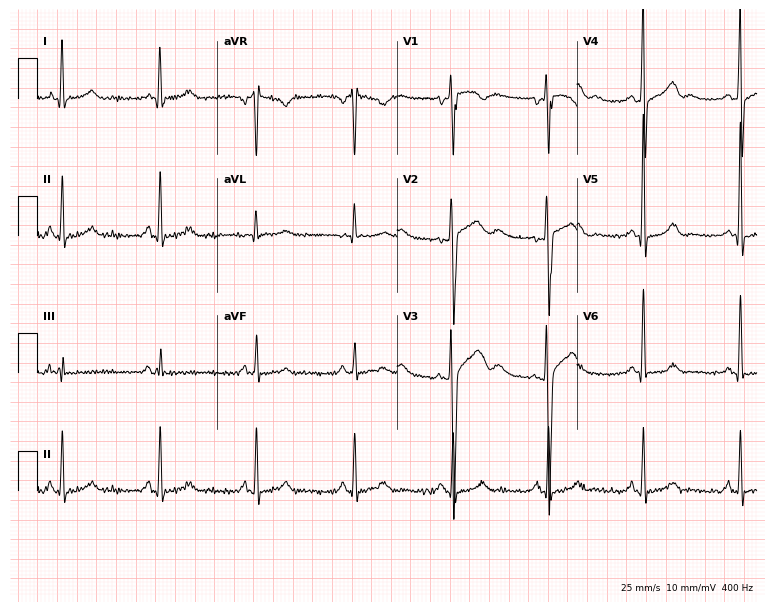
Standard 12-lead ECG recorded from a male patient, 38 years old (7.3-second recording at 400 Hz). Read as a normal ECG.